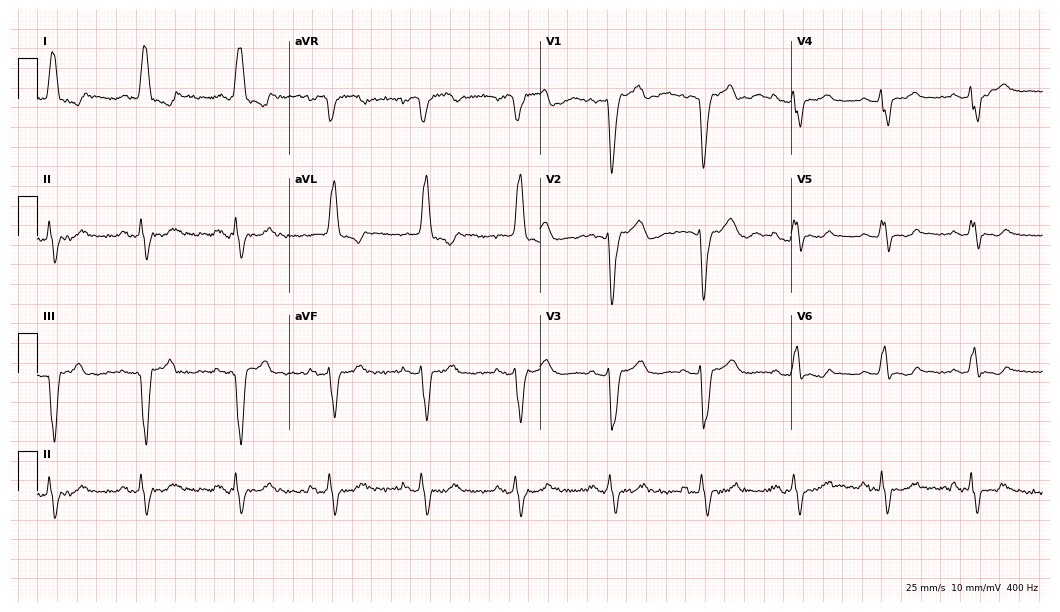
Electrocardiogram (10.2-second recording at 400 Hz), a 73-year-old female. Interpretation includes left bundle branch block.